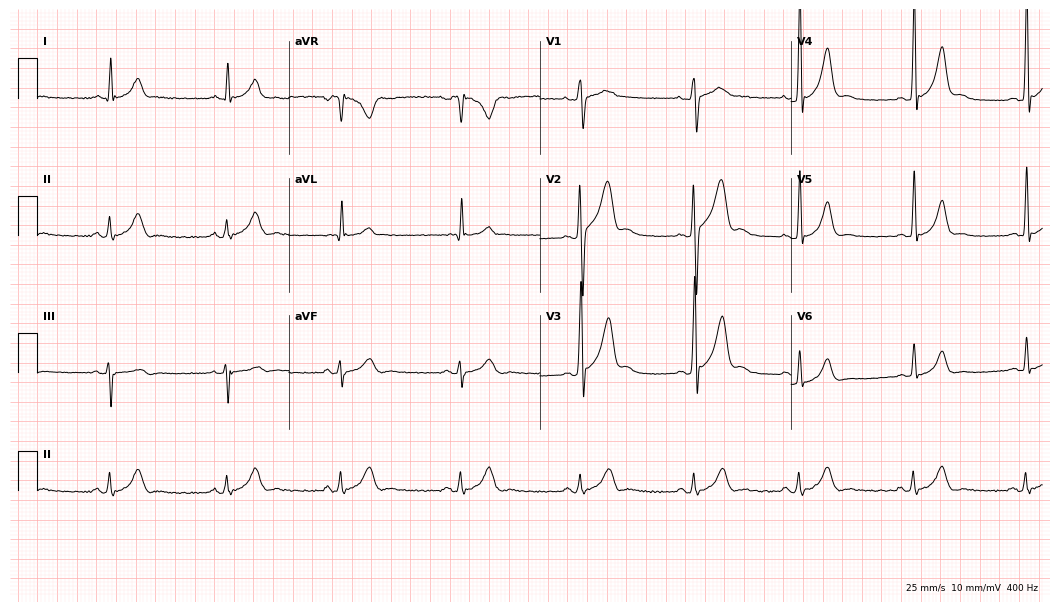
Standard 12-lead ECG recorded from a 31-year-old male patient (10.2-second recording at 400 Hz). None of these six findings is recorded: first-degree AV block, right bundle branch block (RBBB), left bundle branch block (LBBB), sinus bradycardia, atrial fibrillation (AF), sinus tachycardia.